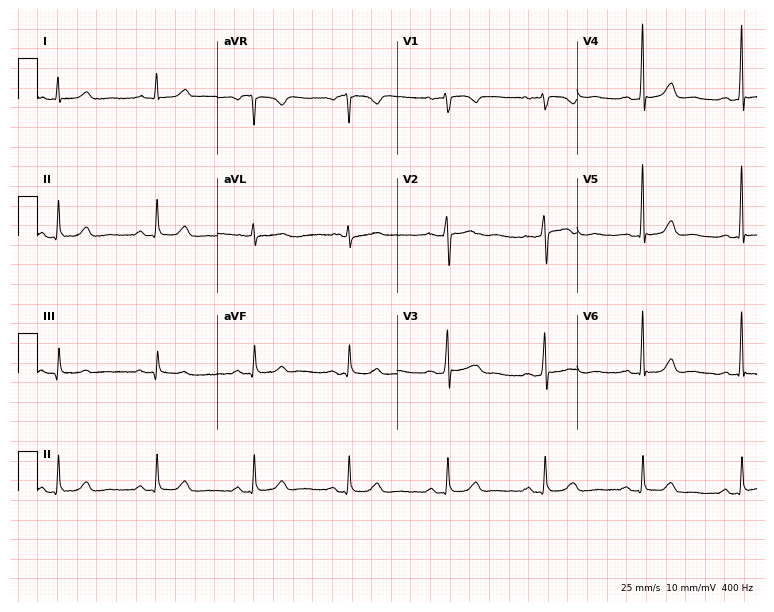
Electrocardiogram (7.3-second recording at 400 Hz), a female patient, 60 years old. Overall reading on record: normal ECG.